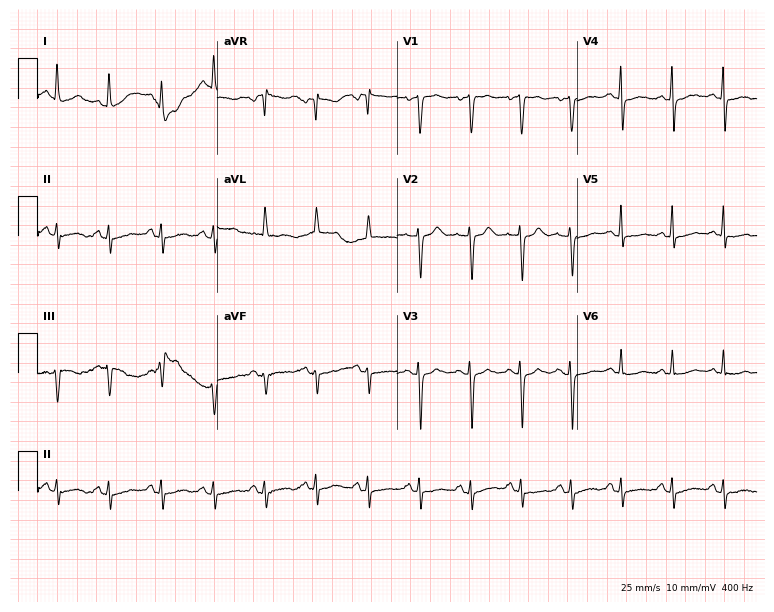
ECG — a female, 45 years old. Screened for six findings — first-degree AV block, right bundle branch block, left bundle branch block, sinus bradycardia, atrial fibrillation, sinus tachycardia — none is recorded. Only these six findings were labelled.